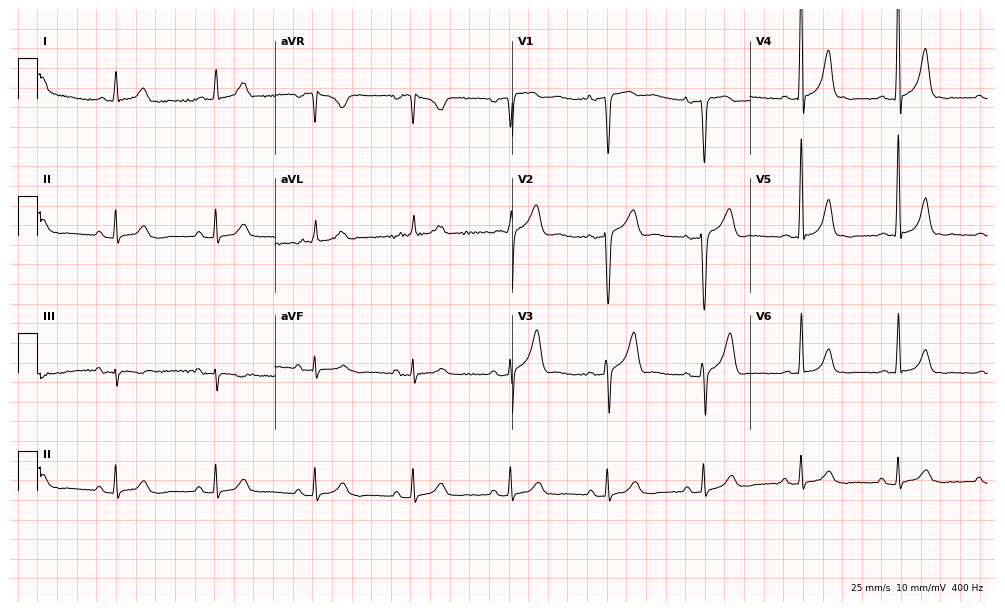
12-lead ECG from an 80-year-old man (9.7-second recording at 400 Hz). Recorded interpretation: within normal limits.